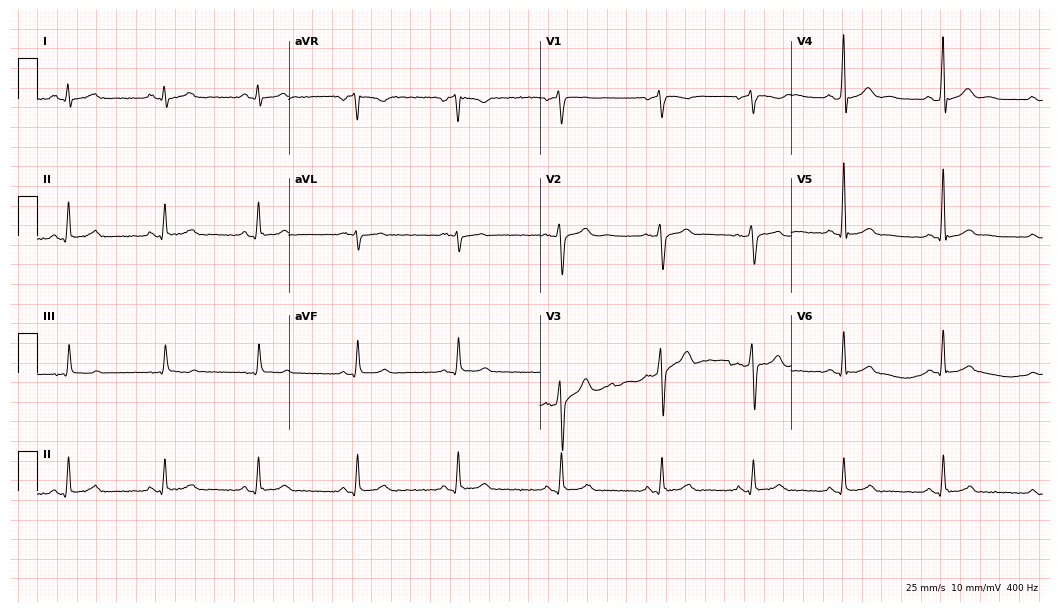
12-lead ECG from a man, 35 years old (10.2-second recording at 400 Hz). Recorded interpretation: within normal limits.